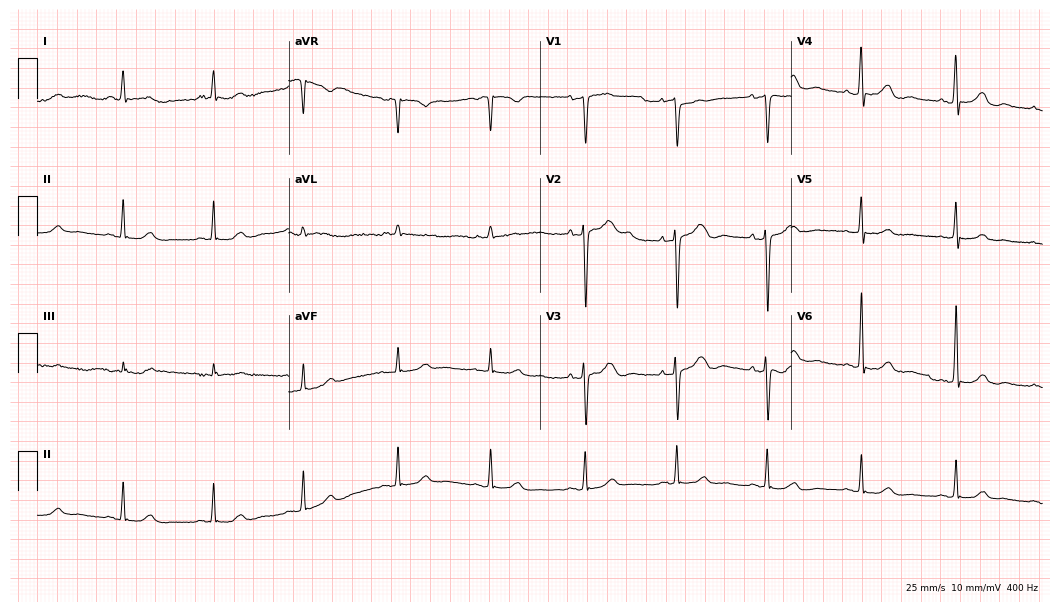
Resting 12-lead electrocardiogram. Patient: a 56-year-old woman. Read as a normal ECG.